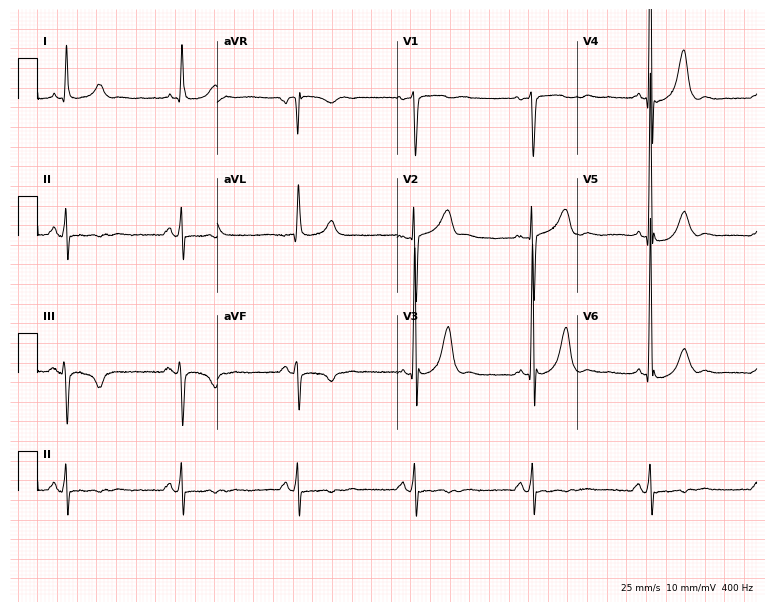
Resting 12-lead electrocardiogram. Patient: a 61-year-old male. None of these six findings is recorded: first-degree AV block, right bundle branch block, left bundle branch block, sinus bradycardia, atrial fibrillation, sinus tachycardia. Findings outside these six are not listed.